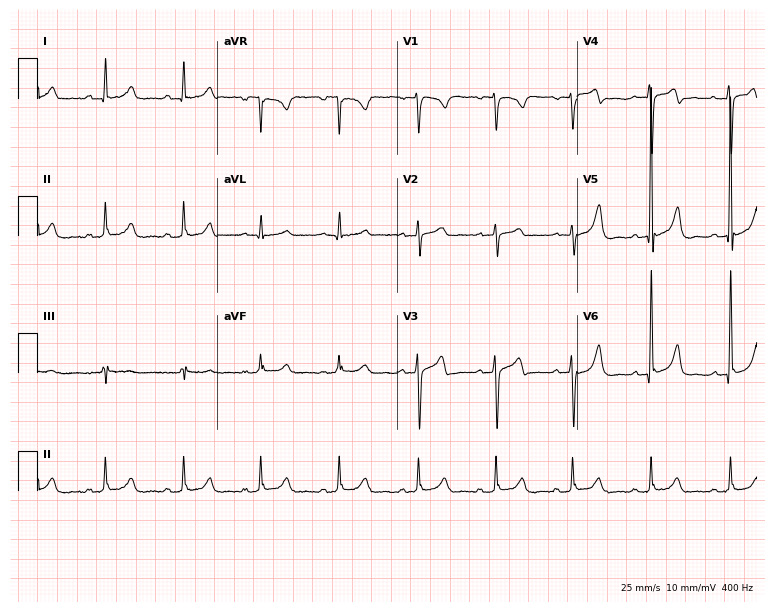
Standard 12-lead ECG recorded from a male, 52 years old (7.3-second recording at 400 Hz). None of these six findings is recorded: first-degree AV block, right bundle branch block, left bundle branch block, sinus bradycardia, atrial fibrillation, sinus tachycardia. Other findings, if any, are not listed.